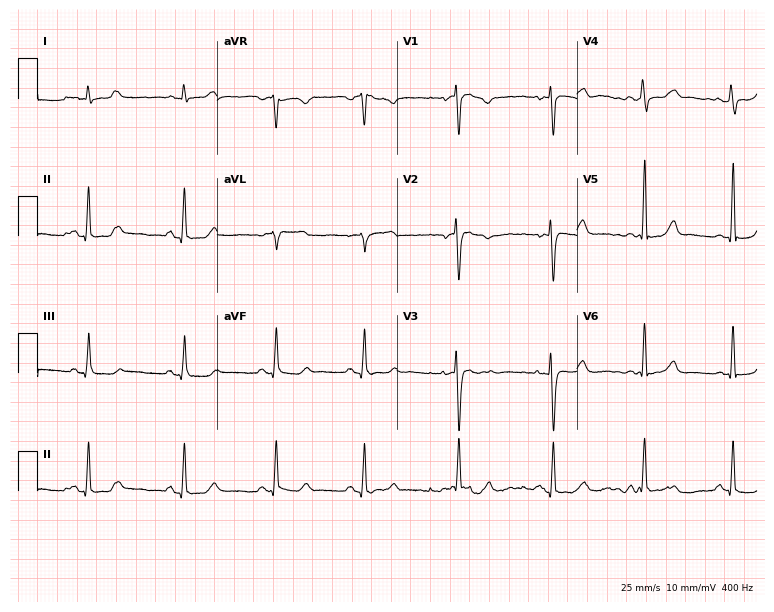
ECG (7.3-second recording at 400 Hz) — a female, 44 years old. Labelled as a normal ECG.